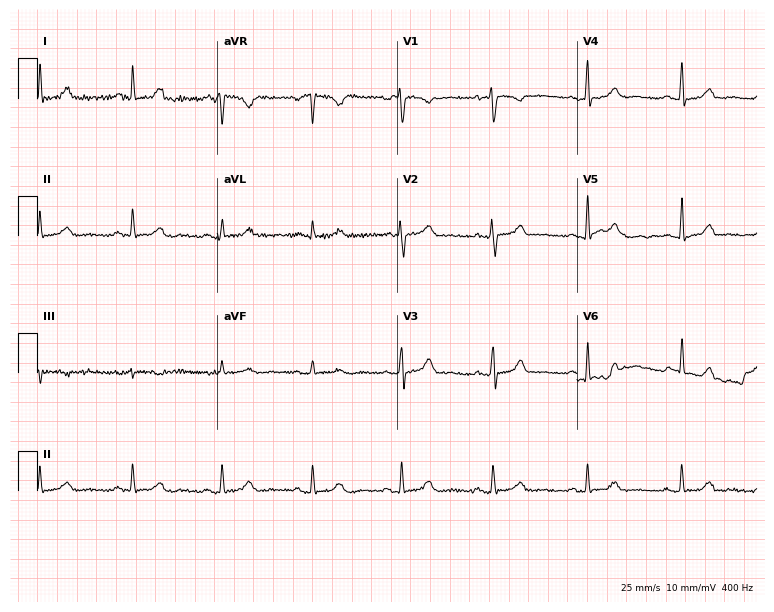
12-lead ECG (7.3-second recording at 400 Hz) from a woman, 48 years old. Screened for six findings — first-degree AV block, right bundle branch block, left bundle branch block, sinus bradycardia, atrial fibrillation, sinus tachycardia — none is recorded. Other findings, if any, are not listed.